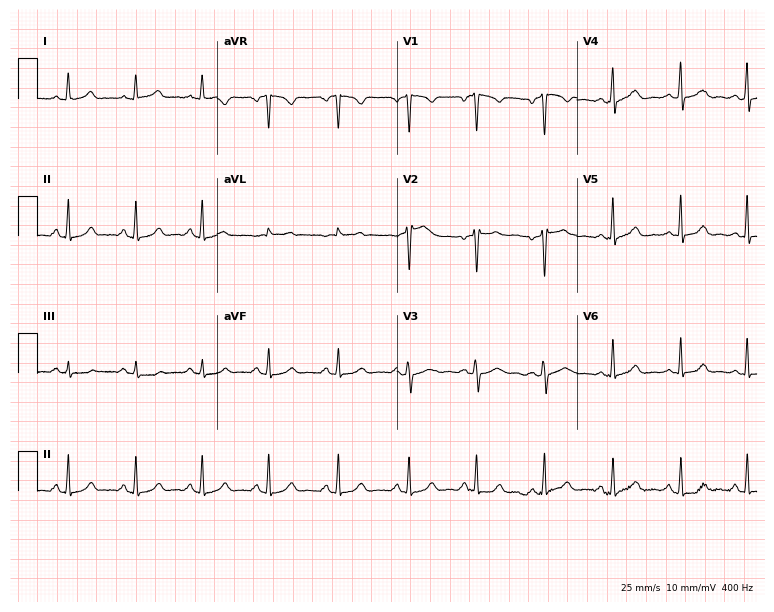
Resting 12-lead electrocardiogram. Patient: a female, 34 years old. None of these six findings is recorded: first-degree AV block, right bundle branch block, left bundle branch block, sinus bradycardia, atrial fibrillation, sinus tachycardia.